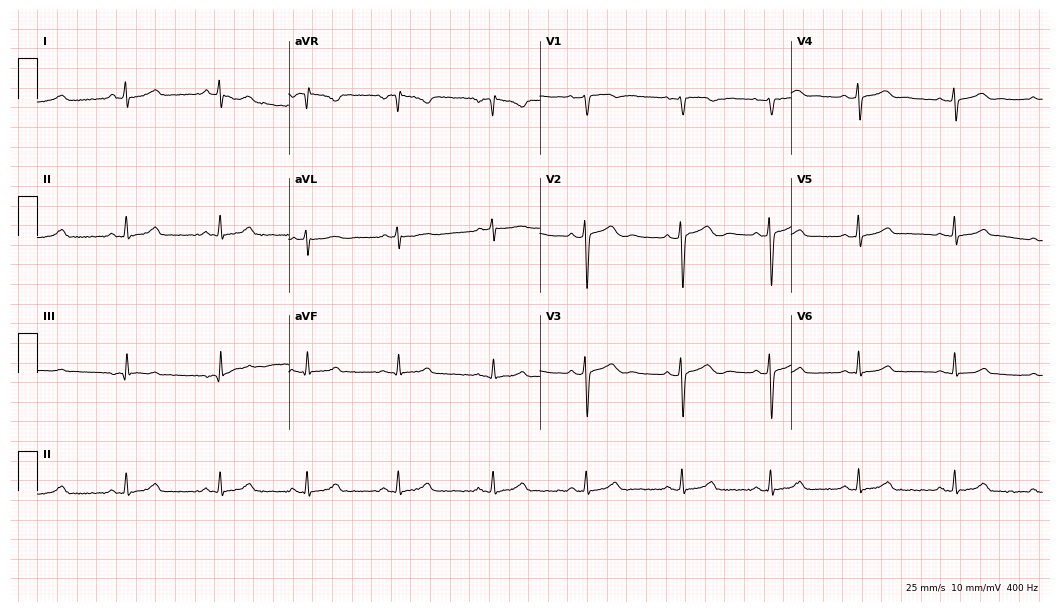
ECG — a 32-year-old woman. Labelled as a normal ECG.